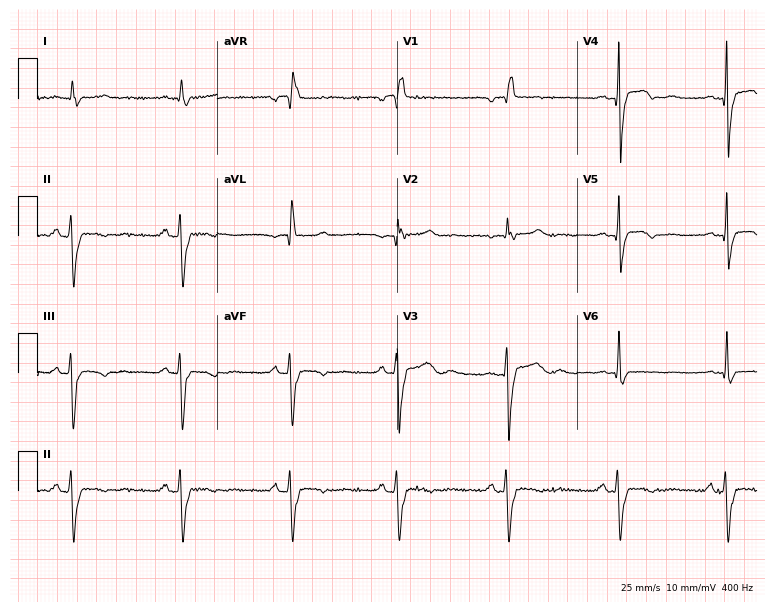
12-lead ECG from a man, 71 years old (7.3-second recording at 400 Hz). No first-degree AV block, right bundle branch block, left bundle branch block, sinus bradycardia, atrial fibrillation or sinus tachycardia recorded for this tracing.